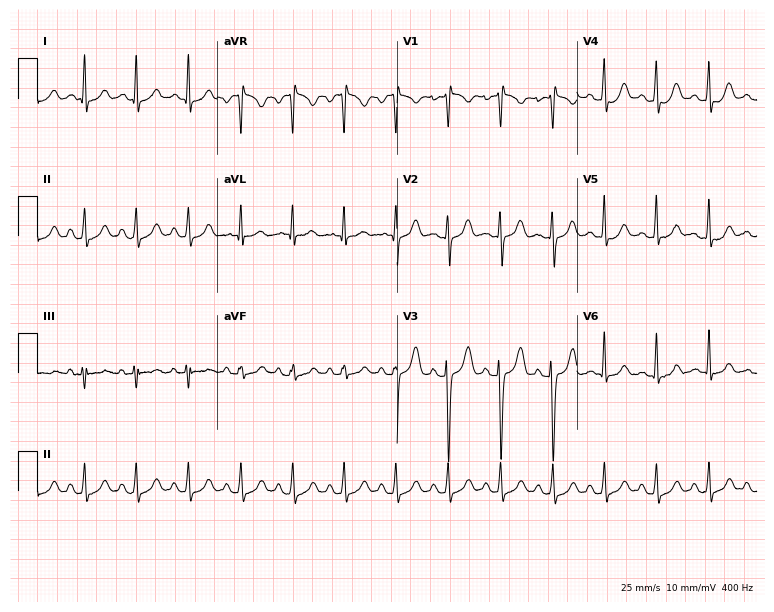
12-lead ECG from a female patient, 17 years old. No first-degree AV block, right bundle branch block, left bundle branch block, sinus bradycardia, atrial fibrillation or sinus tachycardia recorded for this tracing. Other findings, if any, are not listed.